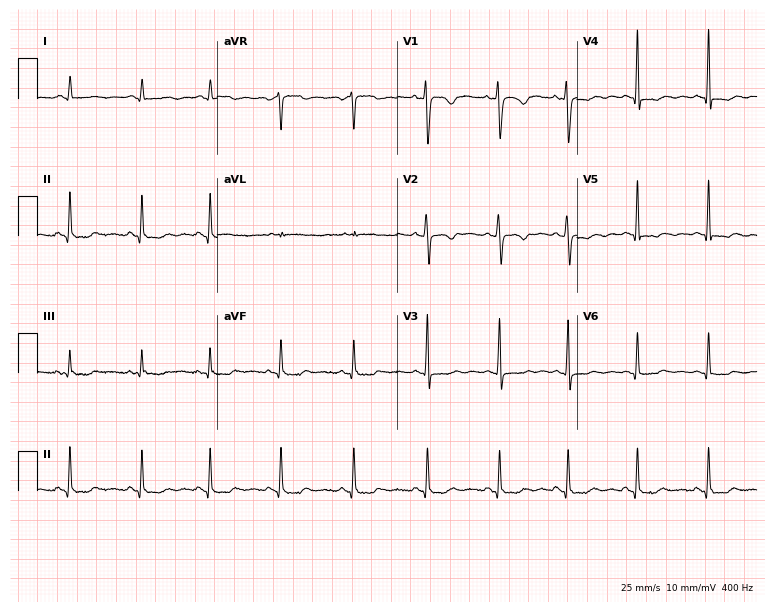
Standard 12-lead ECG recorded from a woman, 28 years old (7.3-second recording at 400 Hz). None of these six findings is recorded: first-degree AV block, right bundle branch block (RBBB), left bundle branch block (LBBB), sinus bradycardia, atrial fibrillation (AF), sinus tachycardia.